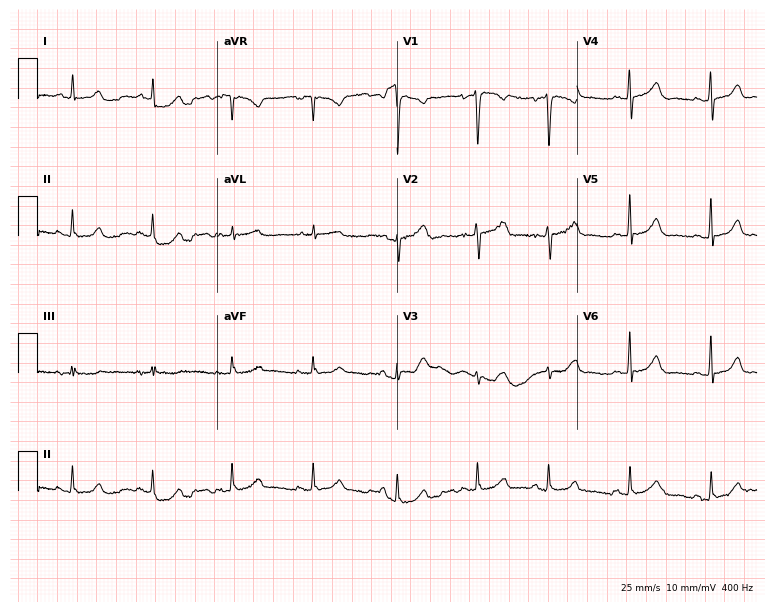
Electrocardiogram (7.3-second recording at 400 Hz), a female, 36 years old. Overall reading on record: normal ECG.